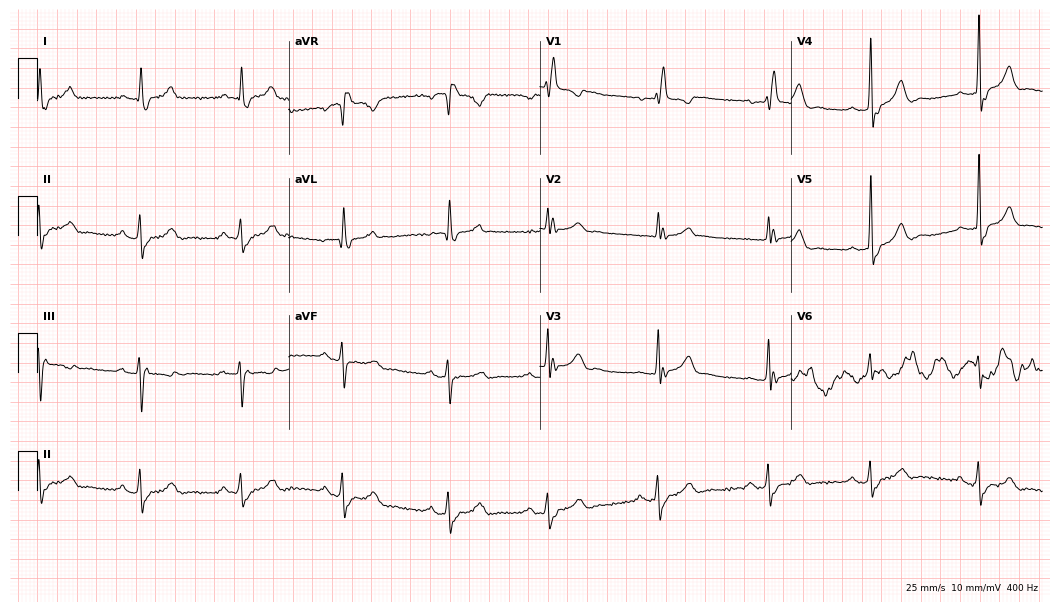
Electrocardiogram, an 80-year-old male patient. Of the six screened findings (first-degree AV block, right bundle branch block, left bundle branch block, sinus bradycardia, atrial fibrillation, sinus tachycardia), none is recorded.